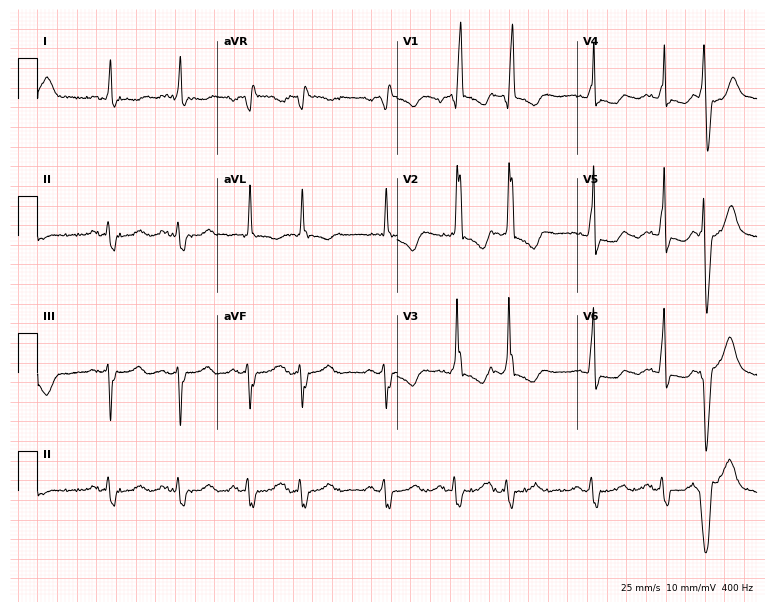
12-lead ECG from a man, 76 years old (7.3-second recording at 400 Hz). No first-degree AV block, right bundle branch block (RBBB), left bundle branch block (LBBB), sinus bradycardia, atrial fibrillation (AF) or sinus tachycardia recorded for this tracing. Other findings, if any, are not listed.